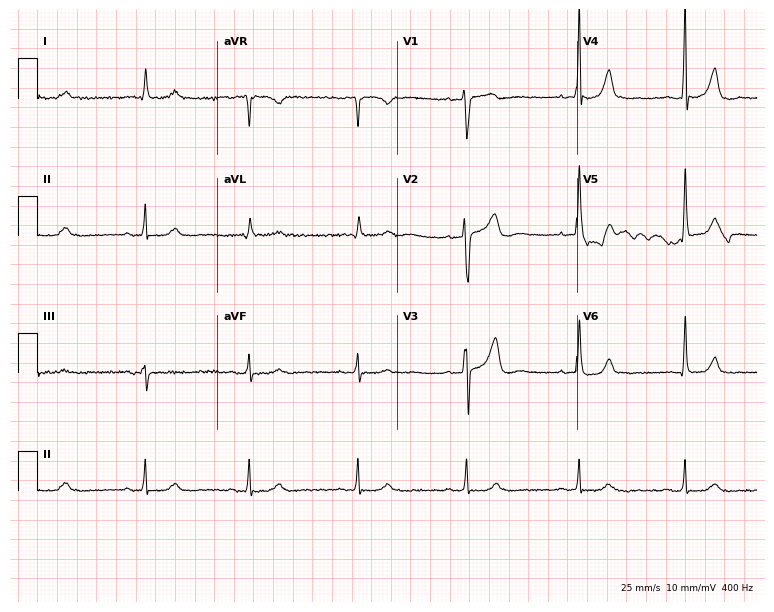
ECG (7.3-second recording at 400 Hz) — a male, 83 years old. Labelled as a normal ECG.